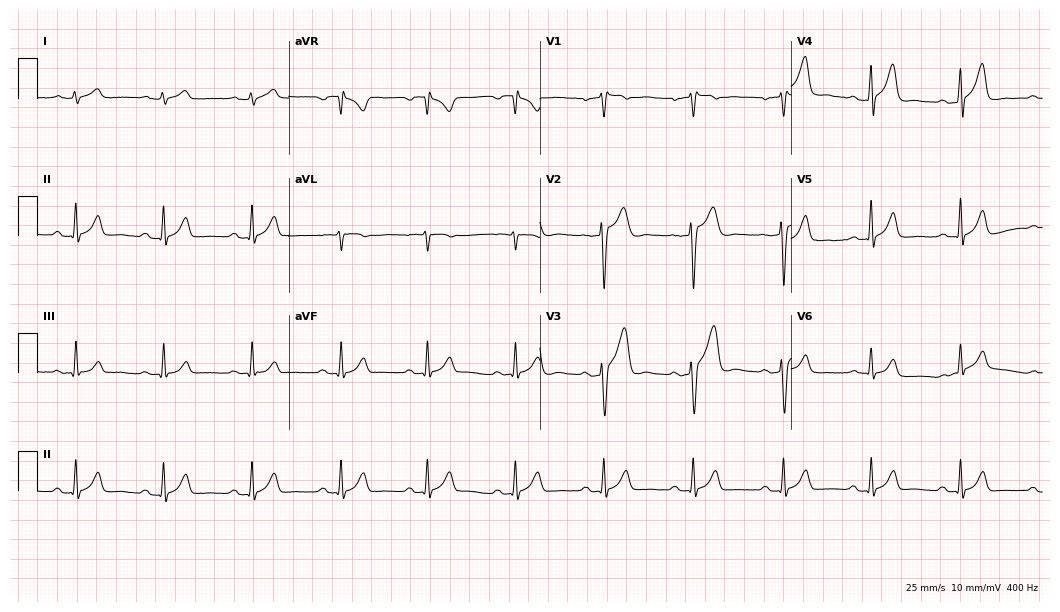
12-lead ECG from a man, 38 years old. Screened for six findings — first-degree AV block, right bundle branch block, left bundle branch block, sinus bradycardia, atrial fibrillation, sinus tachycardia — none is recorded.